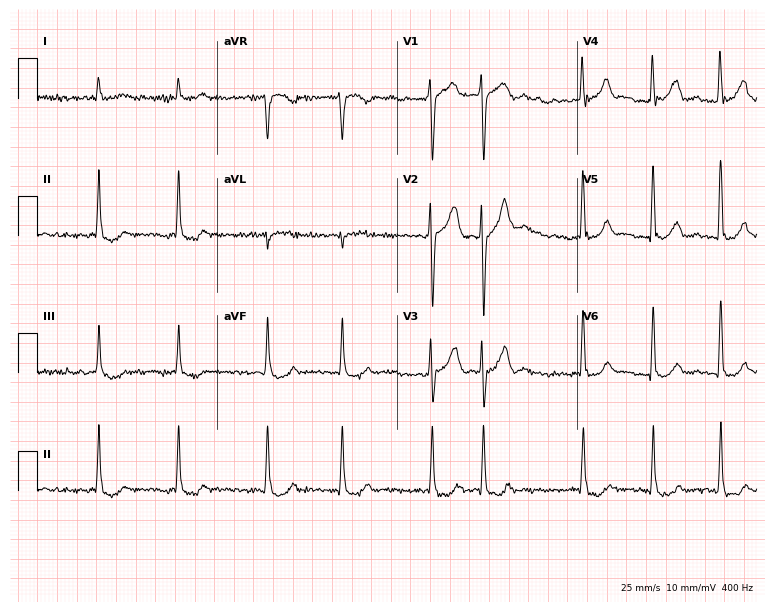
Resting 12-lead electrocardiogram. Patient: a 65-year-old male. The tracing shows atrial fibrillation.